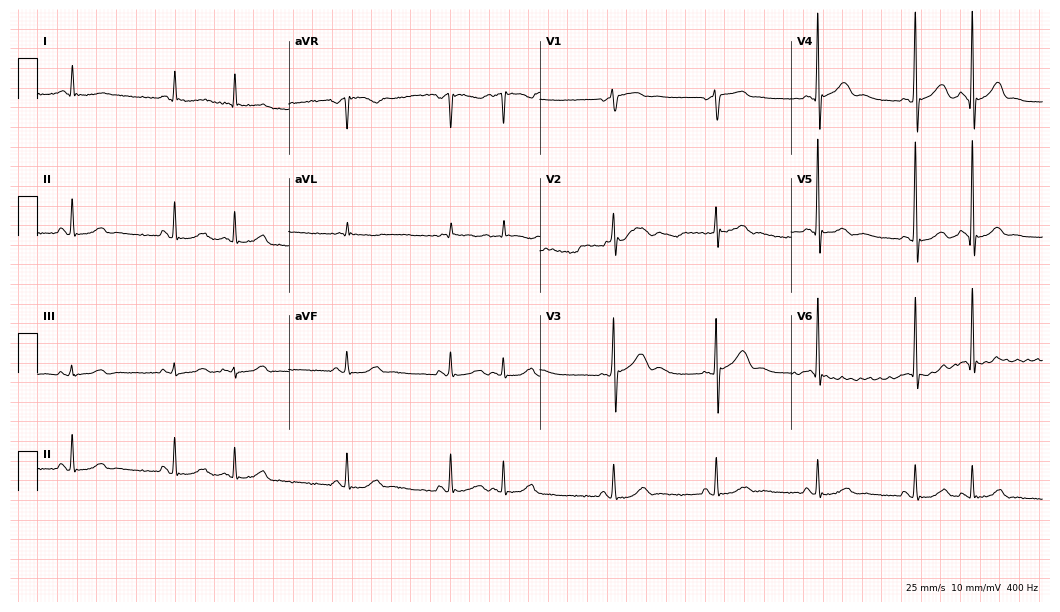
12-lead ECG from an 82-year-old male (10.2-second recording at 400 Hz). No first-degree AV block, right bundle branch block, left bundle branch block, sinus bradycardia, atrial fibrillation or sinus tachycardia recorded for this tracing. Other findings, if any, are not listed.